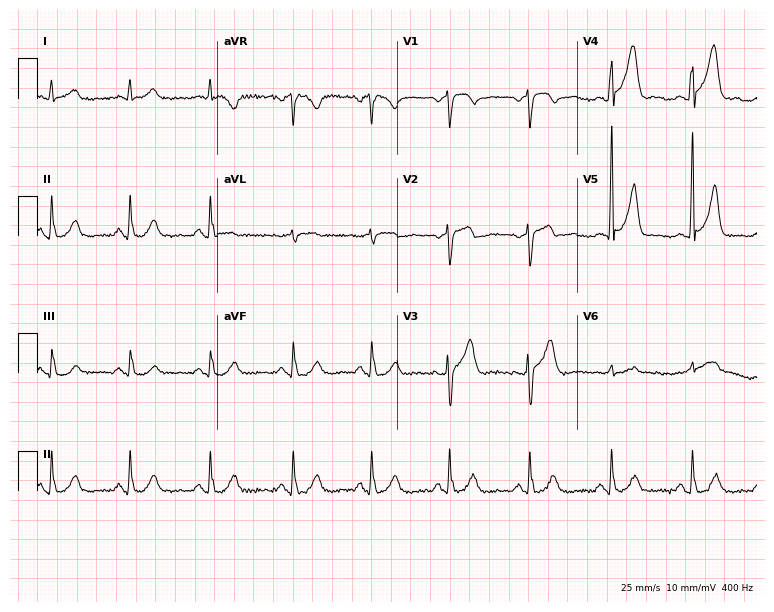
12-lead ECG from a man, 66 years old. Labelled as a normal ECG.